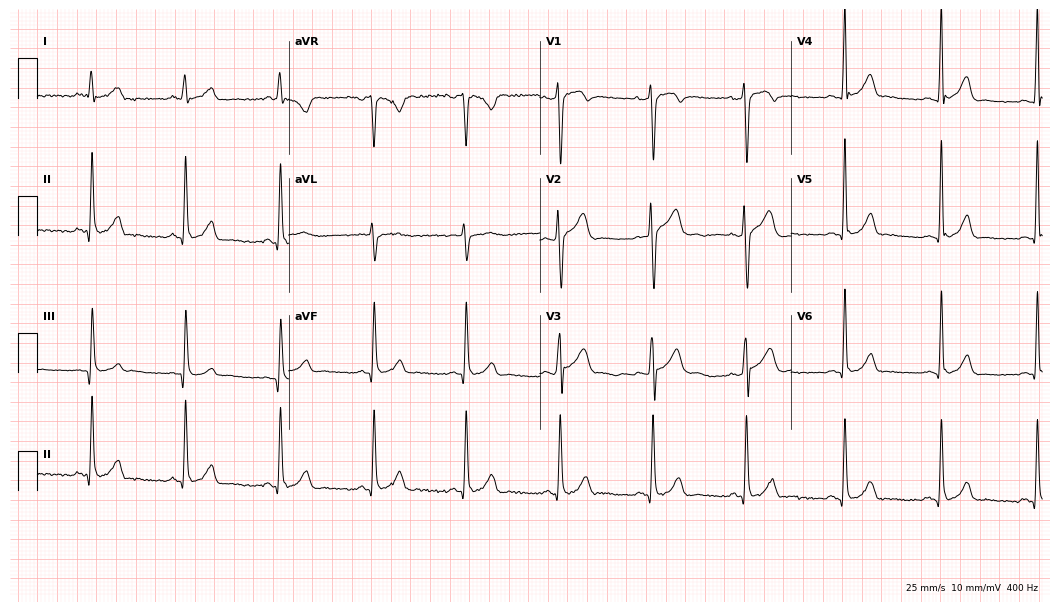
12-lead ECG (10.2-second recording at 400 Hz) from a 23-year-old female. Screened for six findings — first-degree AV block, right bundle branch block, left bundle branch block, sinus bradycardia, atrial fibrillation, sinus tachycardia — none is recorded. Only these six findings were labelled.